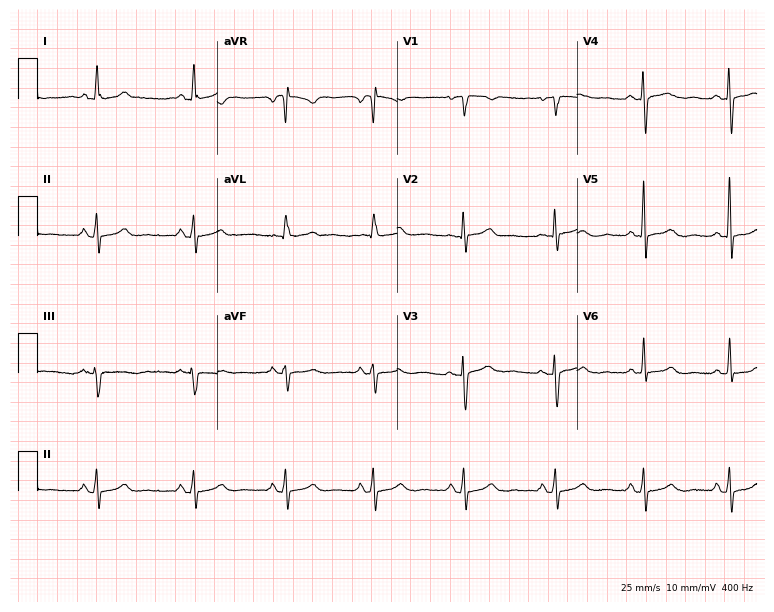
12-lead ECG from a 47-year-old female. Recorded interpretation: within normal limits.